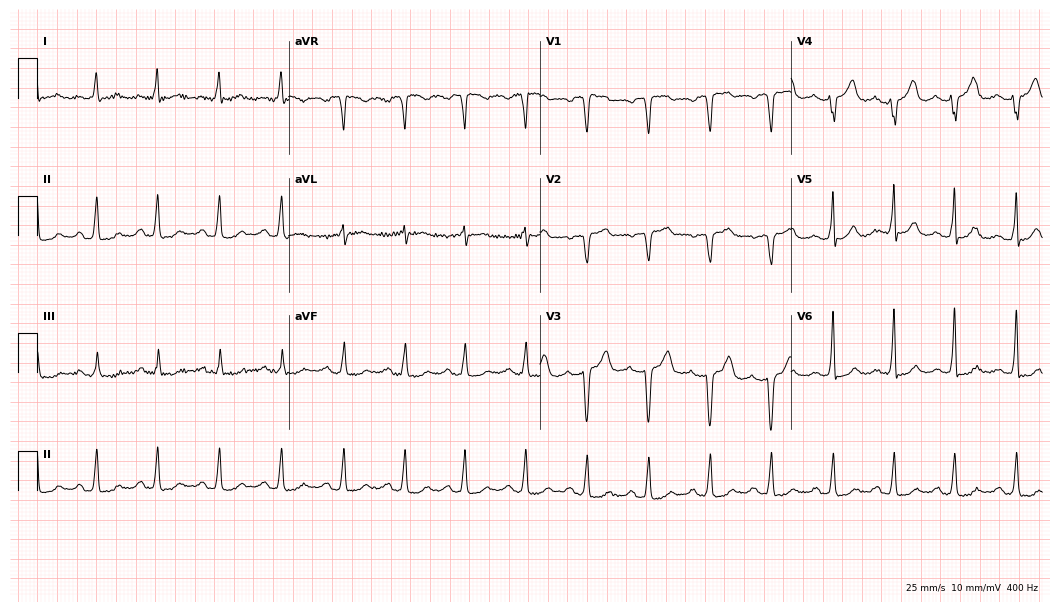
12-lead ECG from a 77-year-old female patient. No first-degree AV block, right bundle branch block, left bundle branch block, sinus bradycardia, atrial fibrillation or sinus tachycardia recorded for this tracing. Other findings, if any, are not listed.